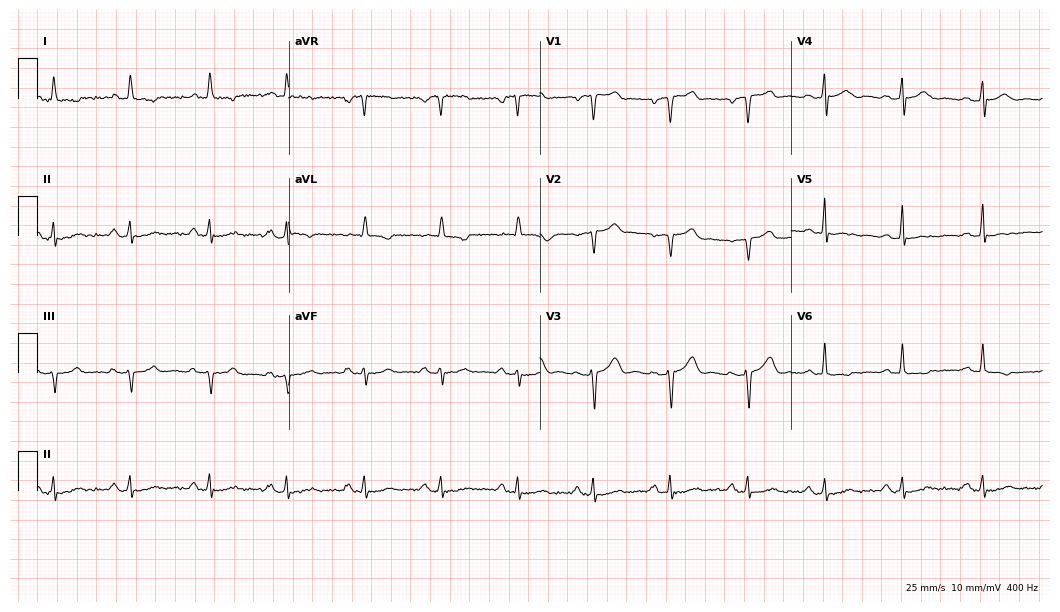
Standard 12-lead ECG recorded from a 59-year-old male patient (10.2-second recording at 400 Hz). Read as a normal ECG.